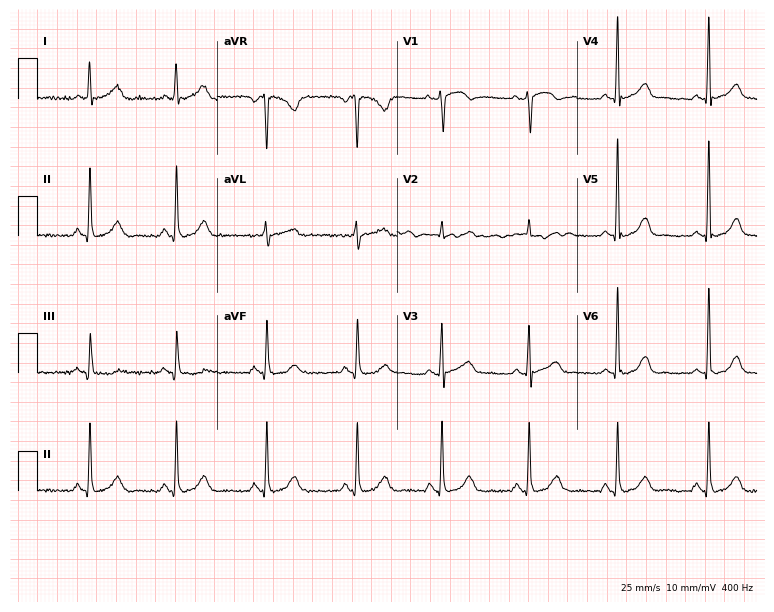
Electrocardiogram (7.3-second recording at 400 Hz), a female, 52 years old. Overall reading on record: normal ECG.